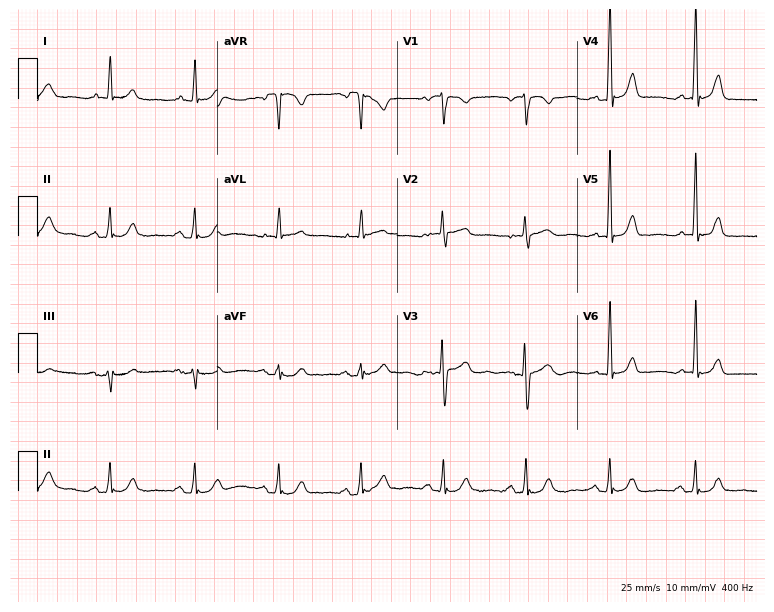
Electrocardiogram (7.3-second recording at 400 Hz), a 72-year-old male. Of the six screened findings (first-degree AV block, right bundle branch block (RBBB), left bundle branch block (LBBB), sinus bradycardia, atrial fibrillation (AF), sinus tachycardia), none is recorded. Only these six findings were labelled.